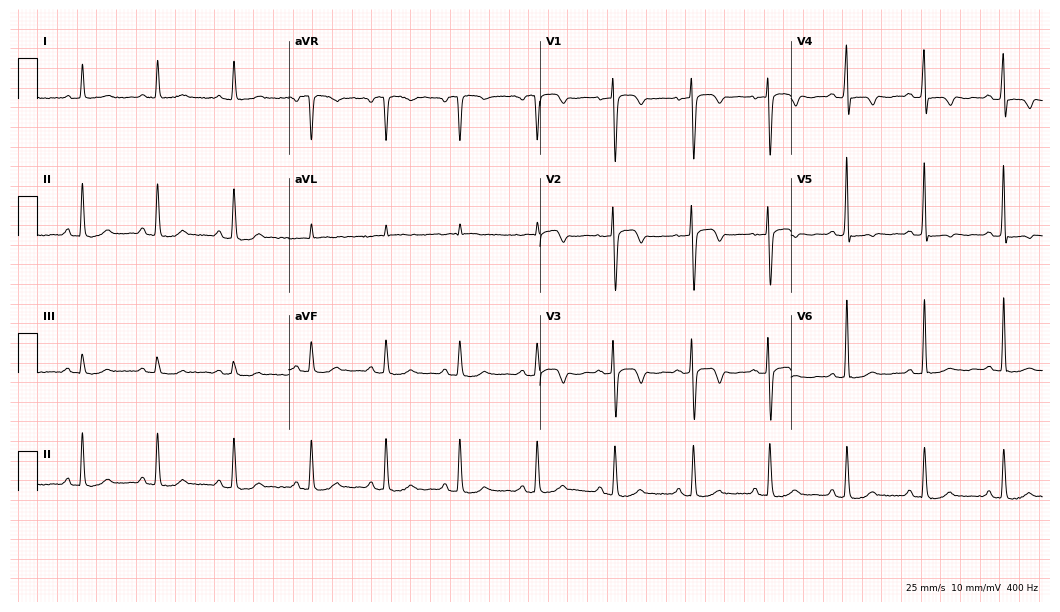
Electrocardiogram, a 67-year-old woman. Of the six screened findings (first-degree AV block, right bundle branch block, left bundle branch block, sinus bradycardia, atrial fibrillation, sinus tachycardia), none is recorded. Findings outside these six are not listed.